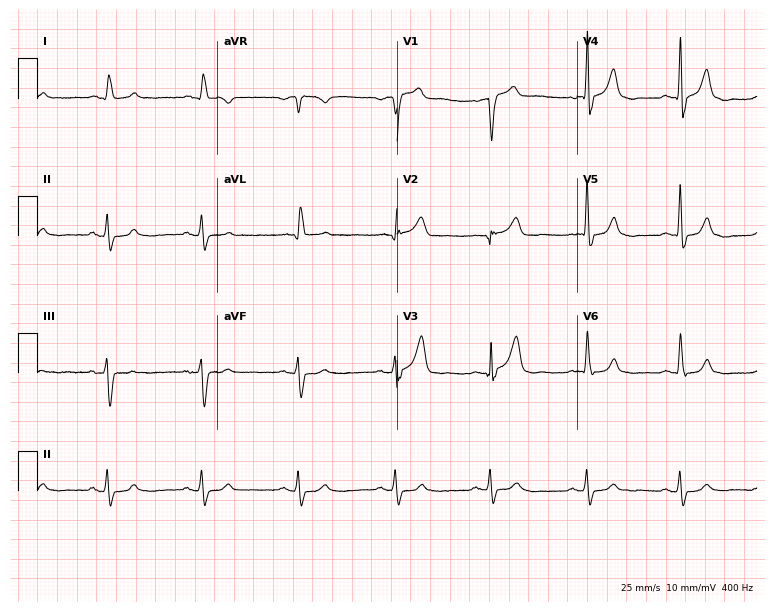
ECG (7.3-second recording at 400 Hz) — an 80-year-old male patient. Screened for six findings — first-degree AV block, right bundle branch block, left bundle branch block, sinus bradycardia, atrial fibrillation, sinus tachycardia — none is recorded.